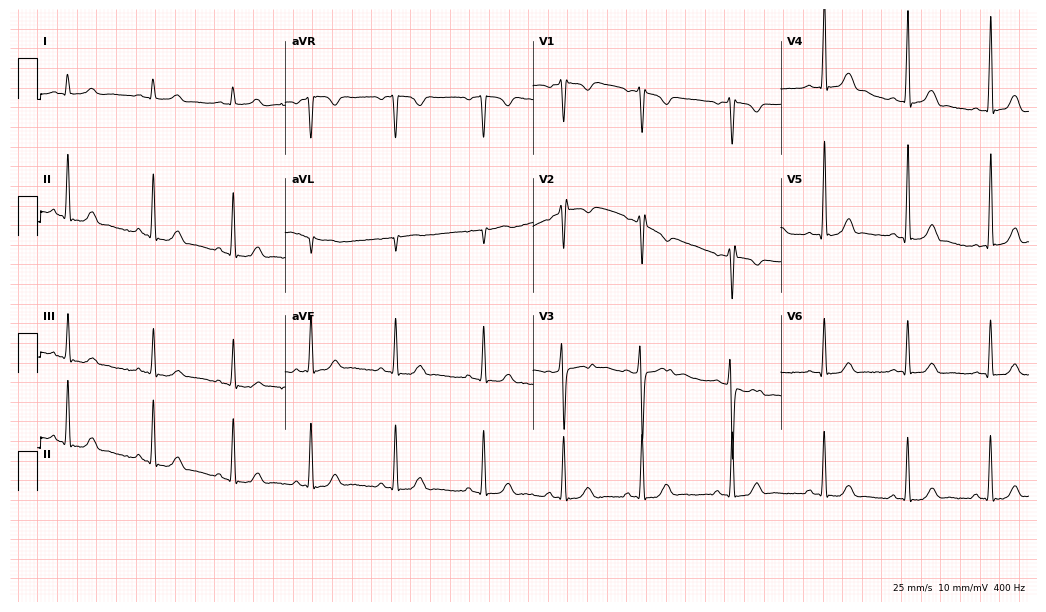
Electrocardiogram (10.1-second recording at 400 Hz), a 22-year-old female. Of the six screened findings (first-degree AV block, right bundle branch block, left bundle branch block, sinus bradycardia, atrial fibrillation, sinus tachycardia), none is recorded. Findings outside these six are not listed.